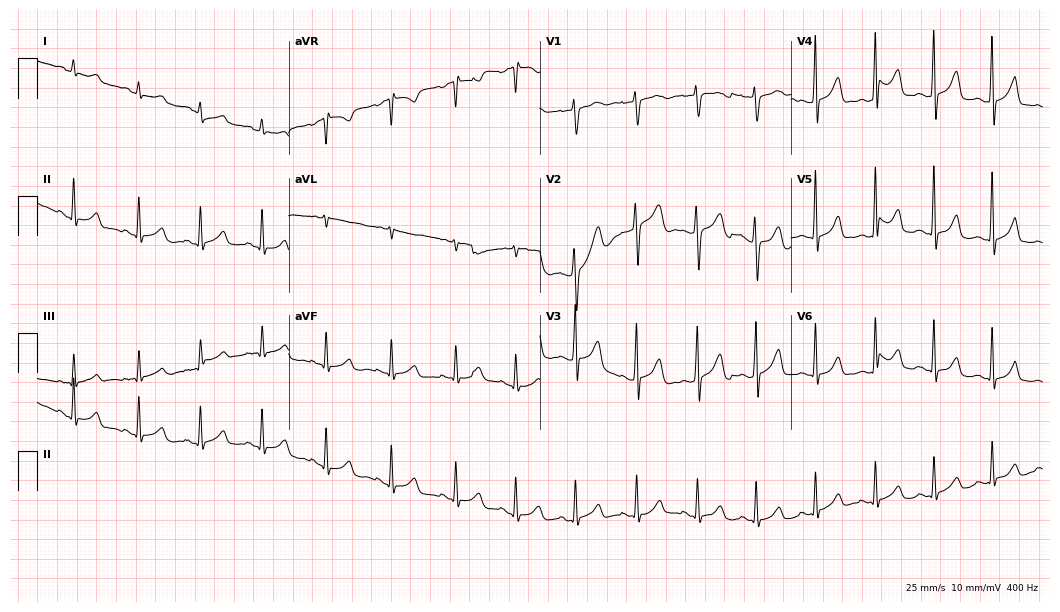
12-lead ECG from a 17-year-old female (10.2-second recording at 400 Hz). Recorded interpretation: within normal limits.